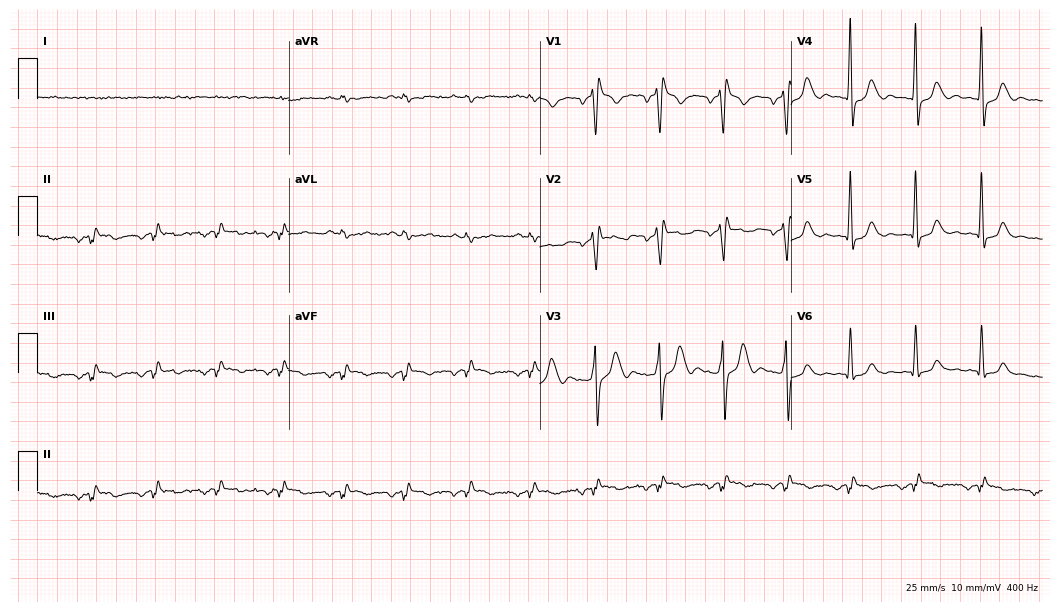
Standard 12-lead ECG recorded from a 51-year-old man (10.2-second recording at 400 Hz). None of these six findings is recorded: first-degree AV block, right bundle branch block, left bundle branch block, sinus bradycardia, atrial fibrillation, sinus tachycardia. Other findings, if any, are not listed.